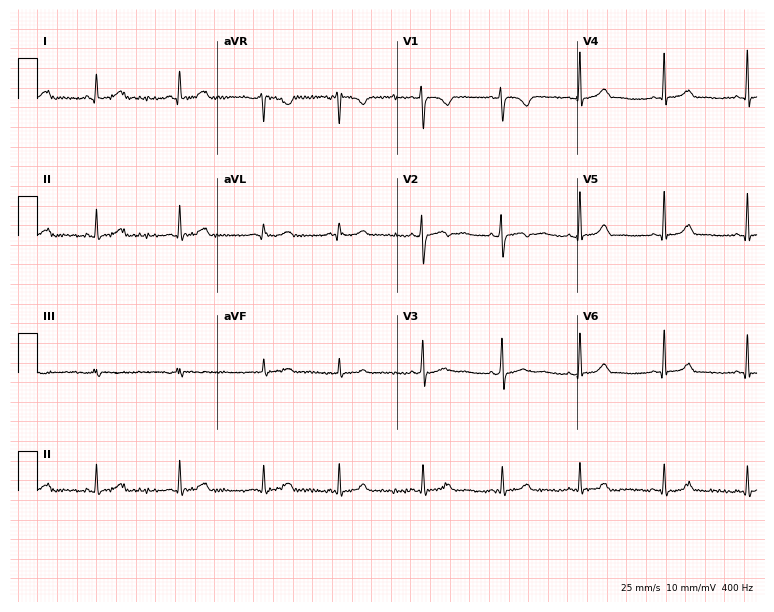
ECG — a 17-year-old female. Screened for six findings — first-degree AV block, right bundle branch block, left bundle branch block, sinus bradycardia, atrial fibrillation, sinus tachycardia — none is recorded.